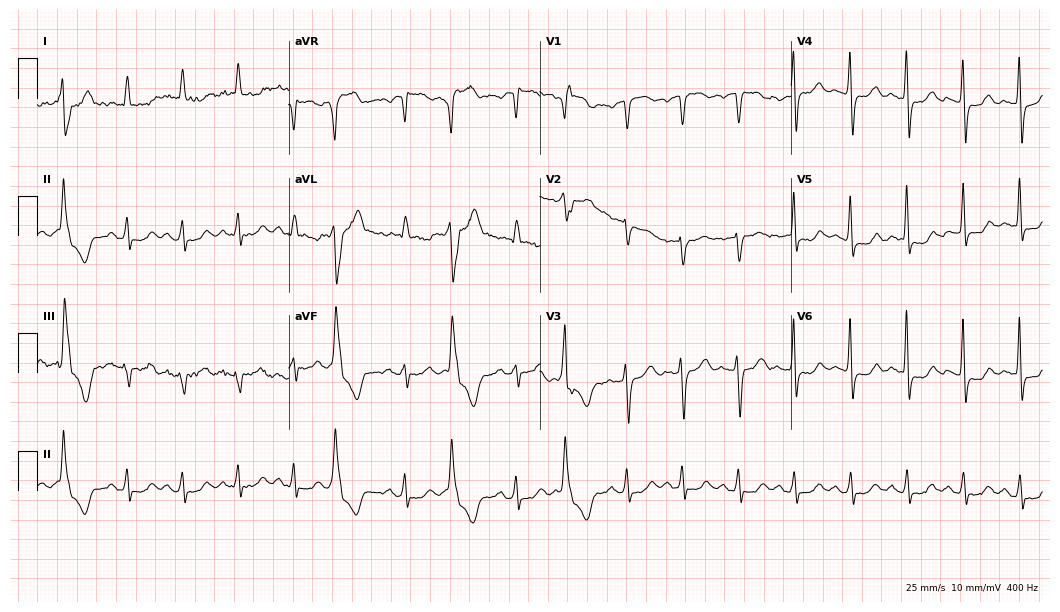
12-lead ECG (10.2-second recording at 400 Hz) from an 82-year-old female. Findings include sinus tachycardia (a sinus rate of 100 beats per minute or more).